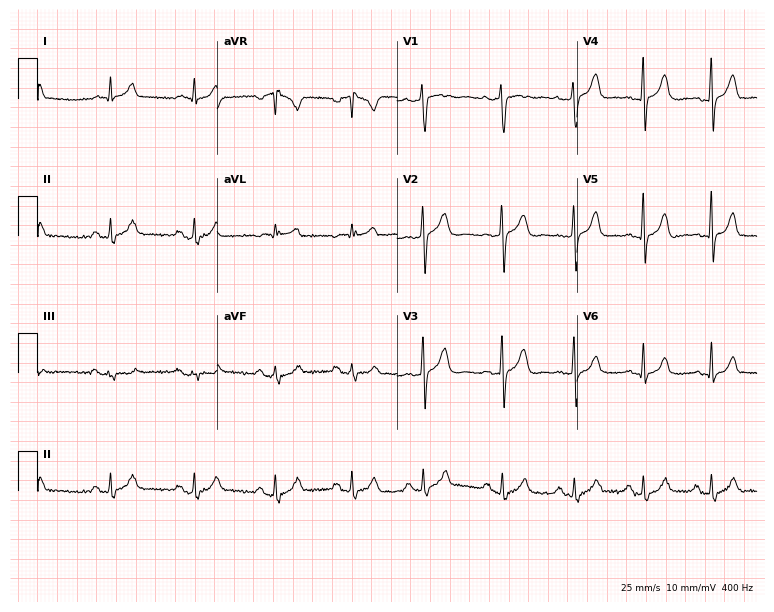
ECG — a female, 36 years old. Labelled as a normal ECG.